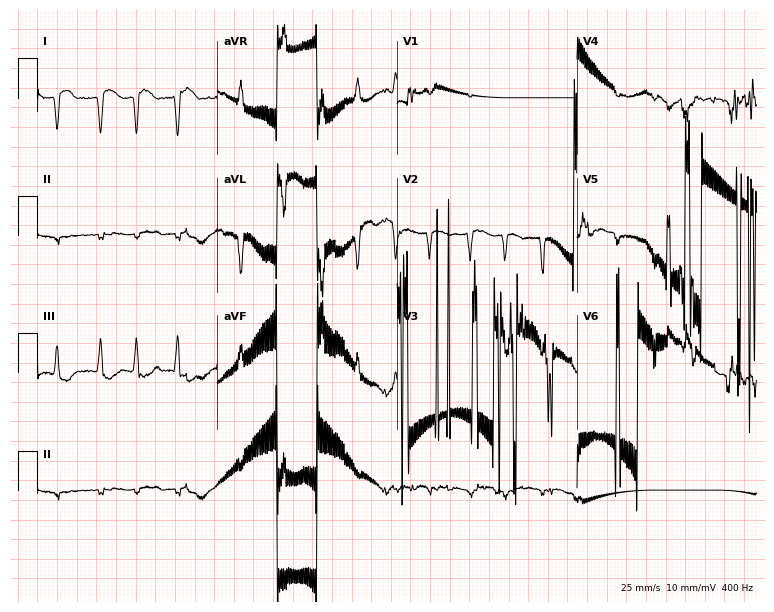
12-lead ECG (7.3-second recording at 400 Hz) from a 74-year-old female patient. Screened for six findings — first-degree AV block, right bundle branch block, left bundle branch block, sinus bradycardia, atrial fibrillation, sinus tachycardia — none is recorded. Other findings, if any, are not listed.